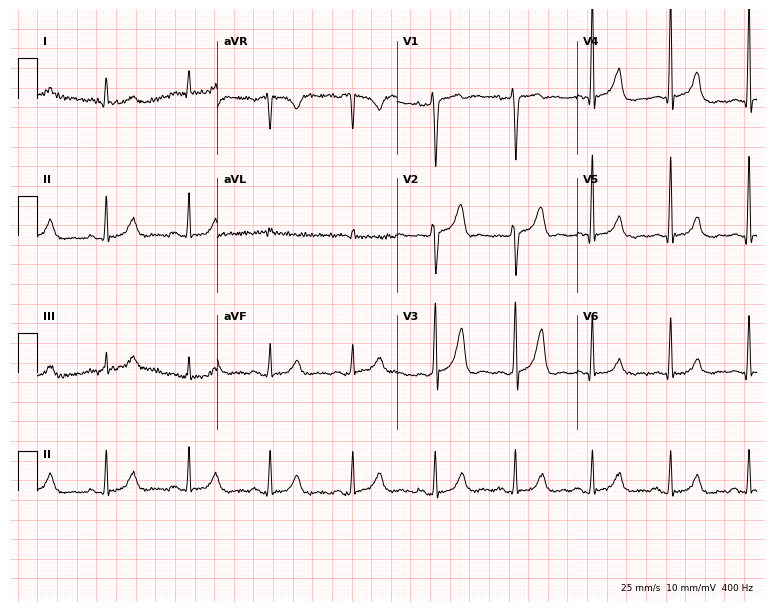
Standard 12-lead ECG recorded from a male patient, 57 years old (7.3-second recording at 400 Hz). None of these six findings is recorded: first-degree AV block, right bundle branch block (RBBB), left bundle branch block (LBBB), sinus bradycardia, atrial fibrillation (AF), sinus tachycardia.